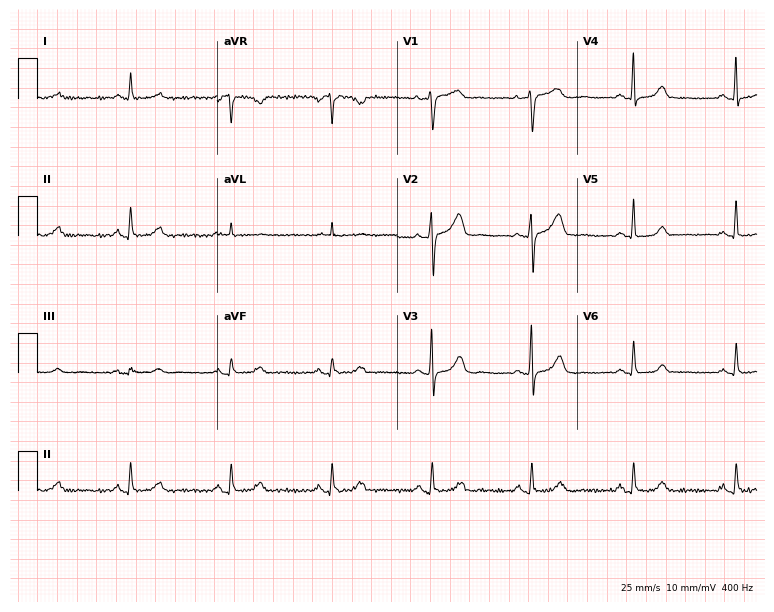
12-lead ECG from a 58-year-old female patient. Recorded interpretation: within normal limits.